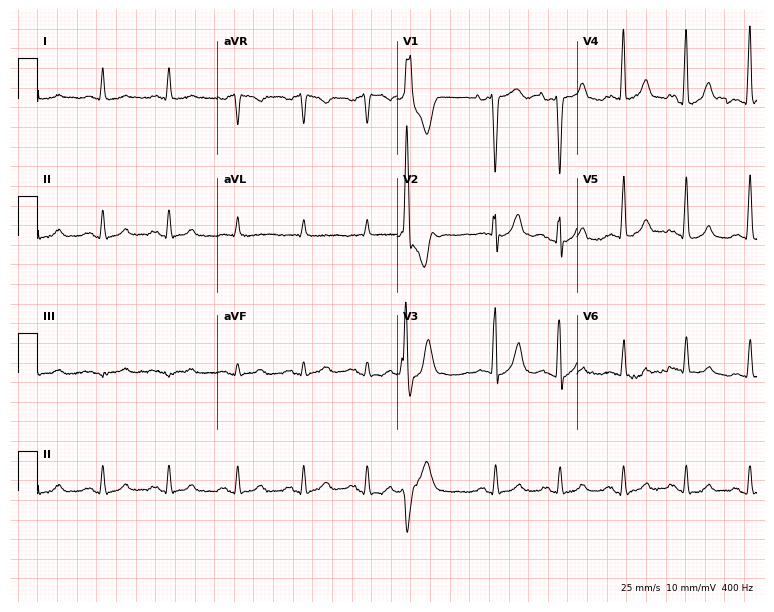
ECG (7.3-second recording at 400 Hz) — an 83-year-old man. Screened for six findings — first-degree AV block, right bundle branch block, left bundle branch block, sinus bradycardia, atrial fibrillation, sinus tachycardia — none is recorded.